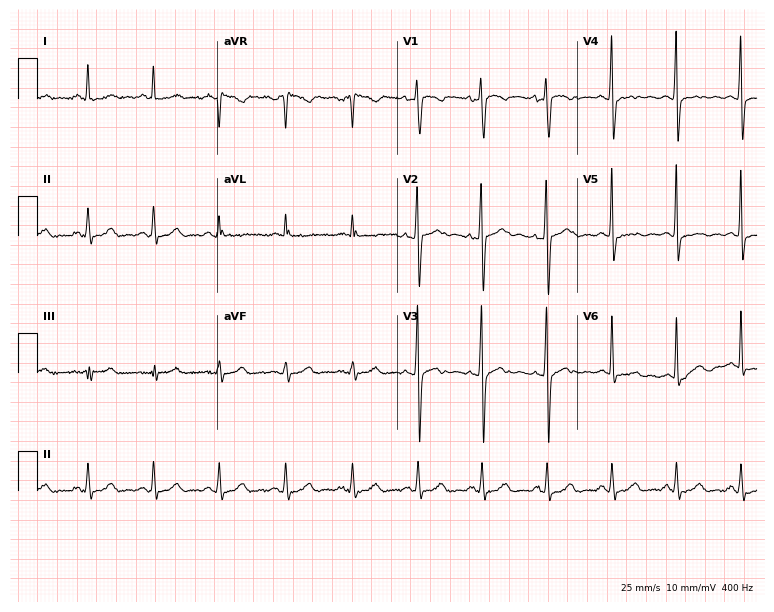
ECG — a 41-year-old male. Screened for six findings — first-degree AV block, right bundle branch block (RBBB), left bundle branch block (LBBB), sinus bradycardia, atrial fibrillation (AF), sinus tachycardia — none is recorded.